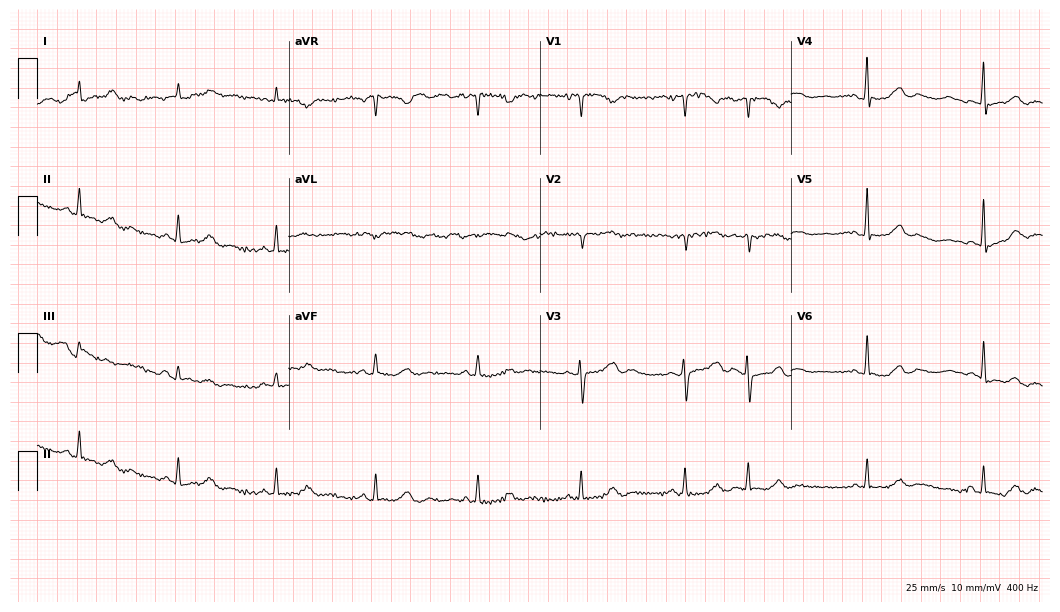
ECG (10.2-second recording at 400 Hz) — a female, 78 years old. Screened for six findings — first-degree AV block, right bundle branch block, left bundle branch block, sinus bradycardia, atrial fibrillation, sinus tachycardia — none is recorded. Findings outside these six are not listed.